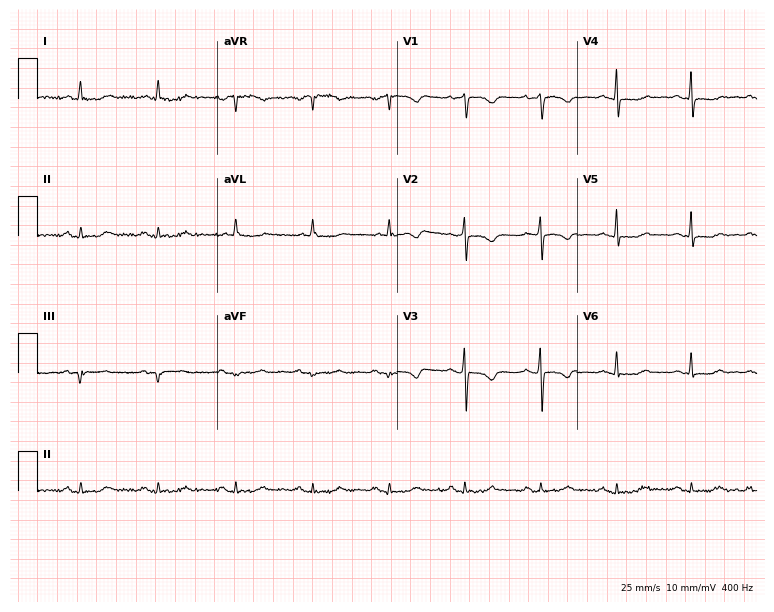
Resting 12-lead electrocardiogram (7.3-second recording at 400 Hz). Patient: a 63-year-old woman. None of these six findings is recorded: first-degree AV block, right bundle branch block, left bundle branch block, sinus bradycardia, atrial fibrillation, sinus tachycardia.